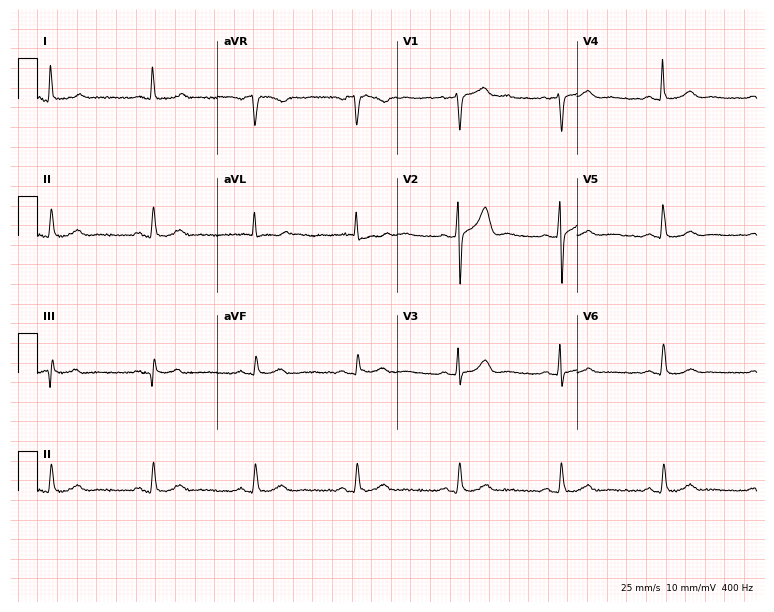
Resting 12-lead electrocardiogram. Patient: a 64-year-old male. Read as a normal ECG.